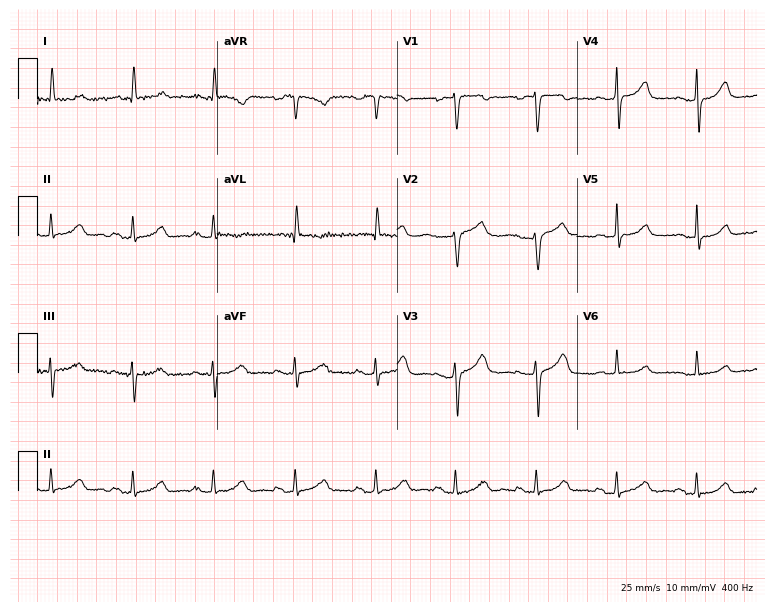
12-lead ECG from a female, 76 years old (7.3-second recording at 400 Hz). No first-degree AV block, right bundle branch block (RBBB), left bundle branch block (LBBB), sinus bradycardia, atrial fibrillation (AF) or sinus tachycardia recorded for this tracing.